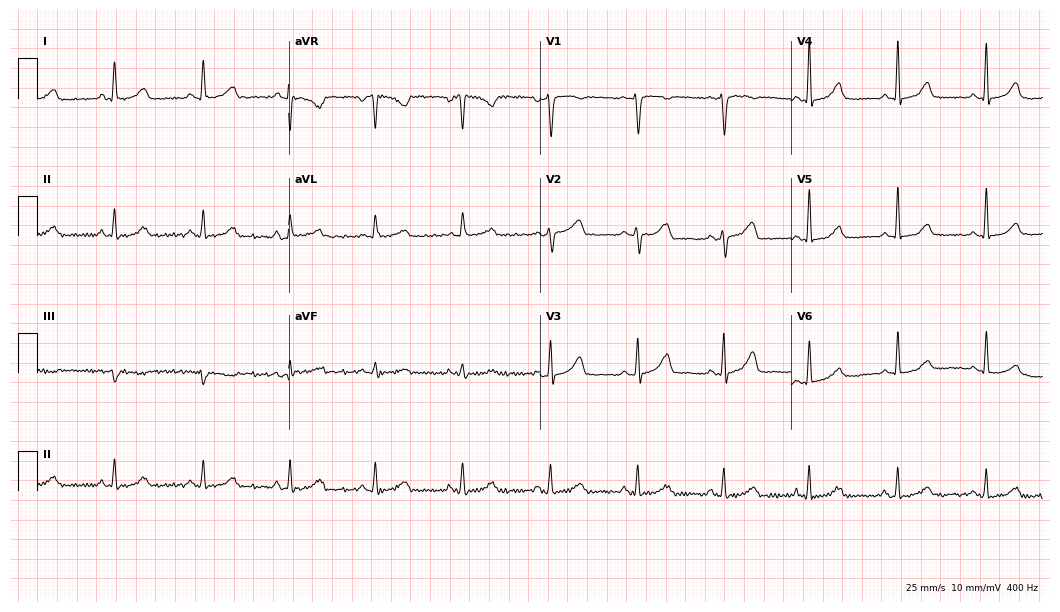
Resting 12-lead electrocardiogram. Patient: a female, 56 years old. None of these six findings is recorded: first-degree AV block, right bundle branch block, left bundle branch block, sinus bradycardia, atrial fibrillation, sinus tachycardia. Only these six findings were labelled.